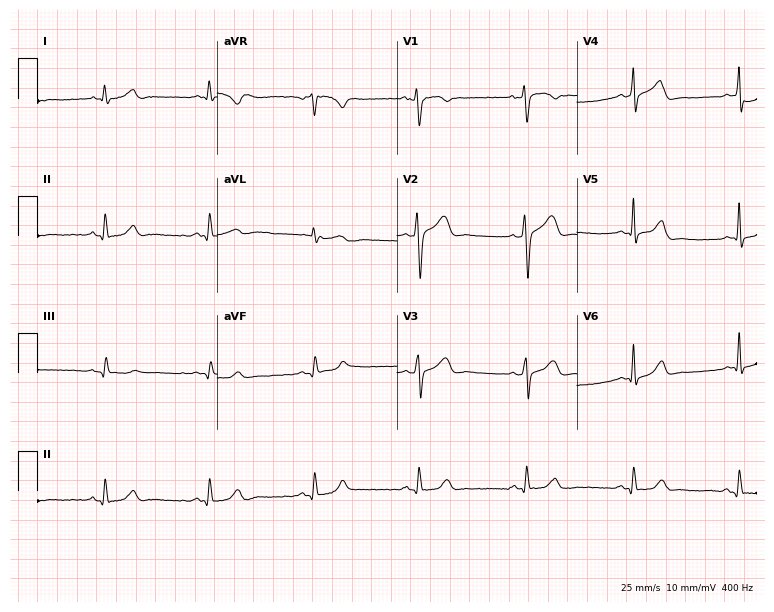
Electrocardiogram, a 53-year-old male. Of the six screened findings (first-degree AV block, right bundle branch block (RBBB), left bundle branch block (LBBB), sinus bradycardia, atrial fibrillation (AF), sinus tachycardia), none is recorded.